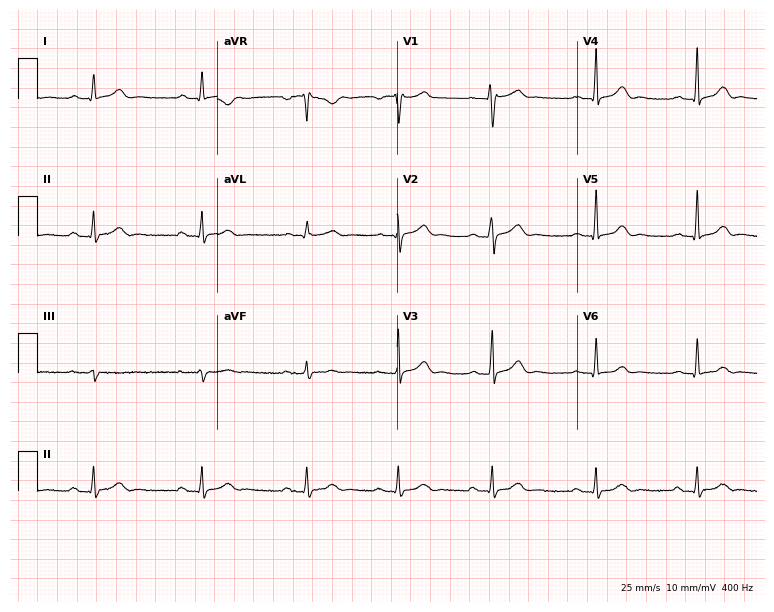
12-lead ECG from a female patient, 34 years old. Labelled as a normal ECG.